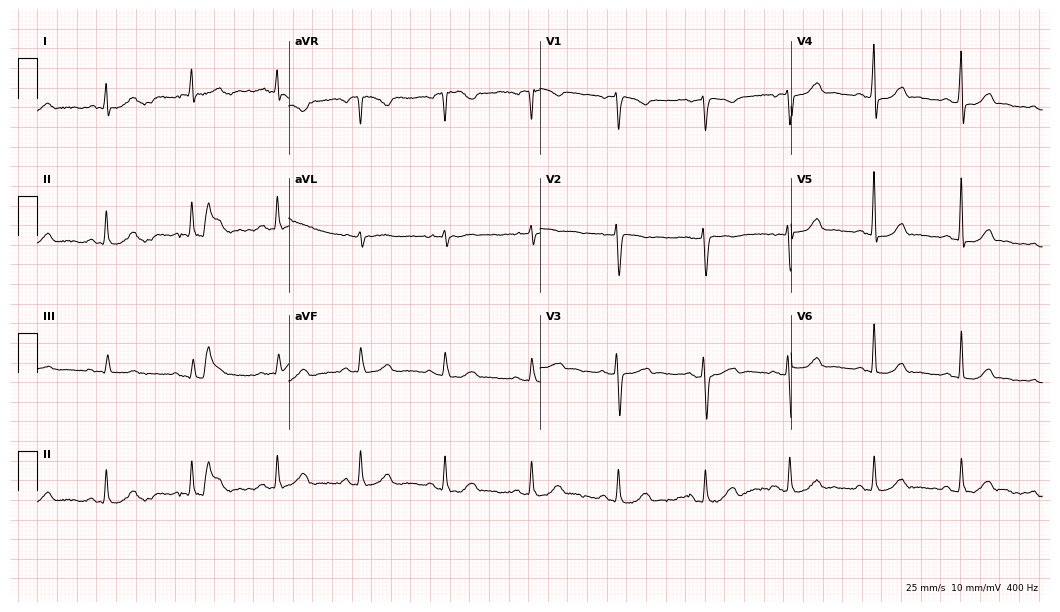
ECG (10.2-second recording at 400 Hz) — a woman, 53 years old. Screened for six findings — first-degree AV block, right bundle branch block, left bundle branch block, sinus bradycardia, atrial fibrillation, sinus tachycardia — none is recorded.